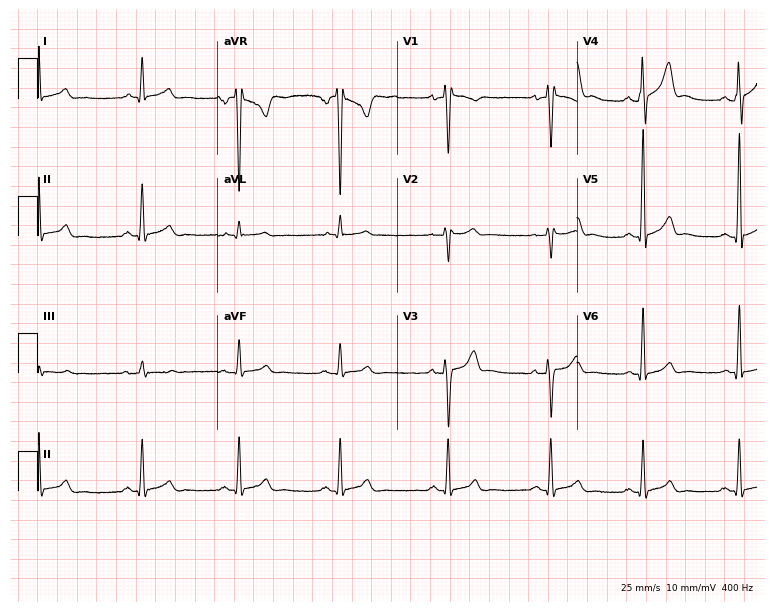
Resting 12-lead electrocardiogram. Patient: a man, 30 years old. None of these six findings is recorded: first-degree AV block, right bundle branch block, left bundle branch block, sinus bradycardia, atrial fibrillation, sinus tachycardia. Findings outside these six are not listed.